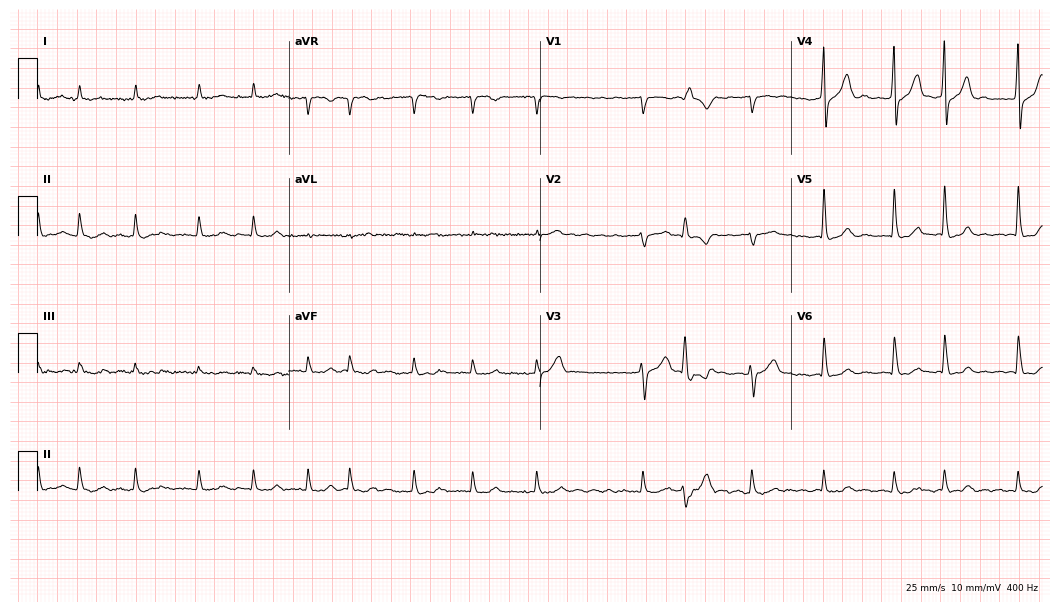
Standard 12-lead ECG recorded from a man, 77 years old. The tracing shows atrial fibrillation (AF).